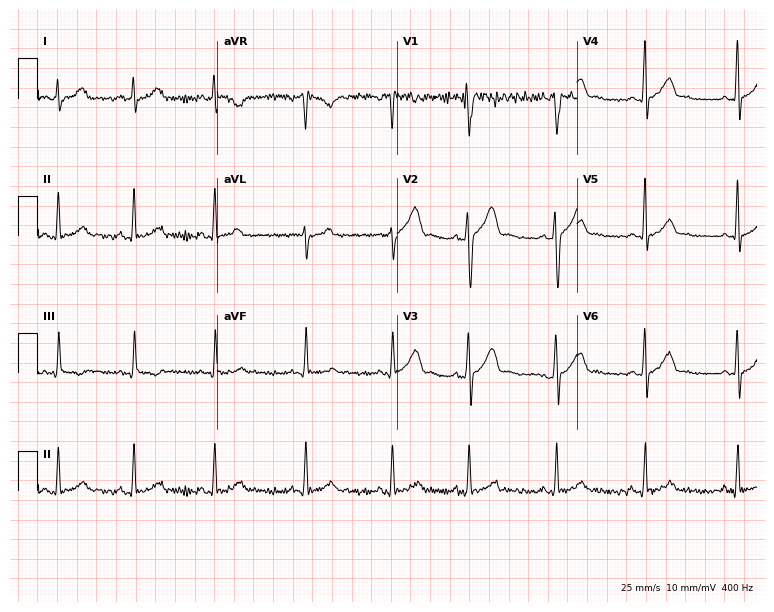
Resting 12-lead electrocardiogram. Patient: a 29-year-old man. None of these six findings is recorded: first-degree AV block, right bundle branch block, left bundle branch block, sinus bradycardia, atrial fibrillation, sinus tachycardia.